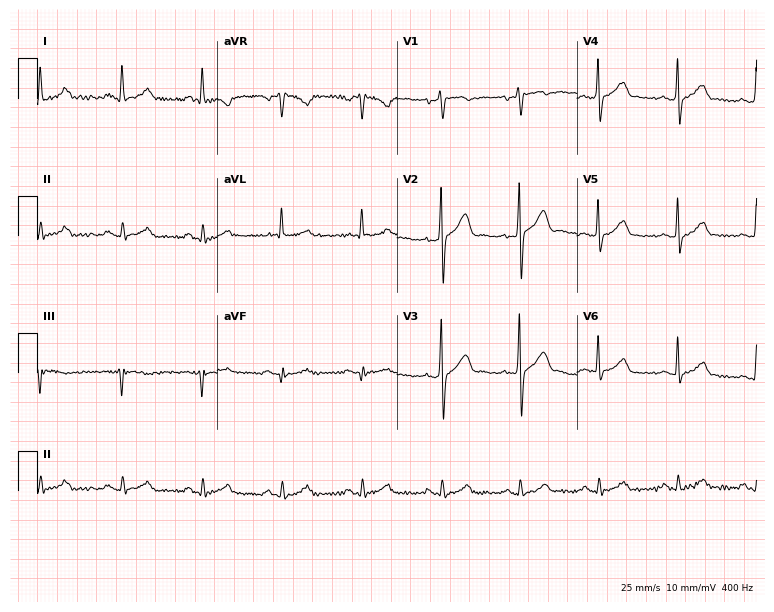
Standard 12-lead ECG recorded from a male patient, 60 years old. None of these six findings is recorded: first-degree AV block, right bundle branch block, left bundle branch block, sinus bradycardia, atrial fibrillation, sinus tachycardia. Other findings, if any, are not listed.